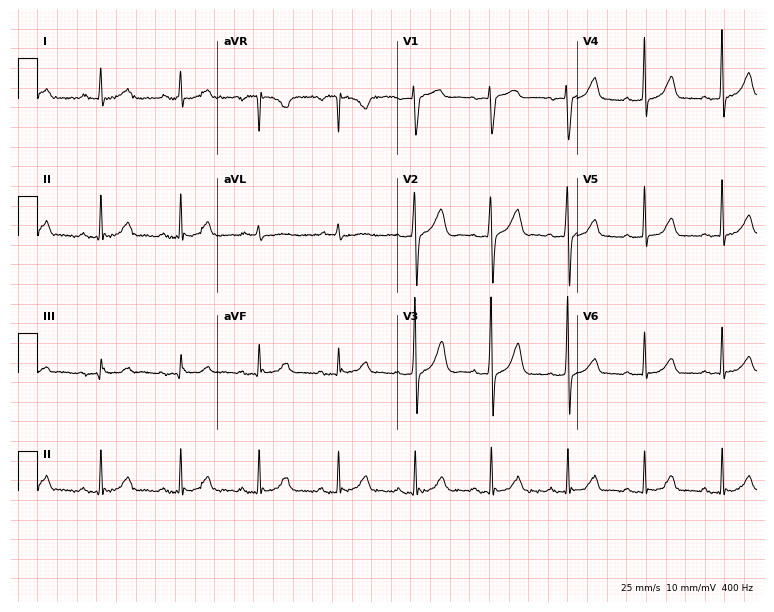
Resting 12-lead electrocardiogram. Patient: a 60-year-old woman. None of these six findings is recorded: first-degree AV block, right bundle branch block, left bundle branch block, sinus bradycardia, atrial fibrillation, sinus tachycardia. Other findings, if any, are not listed.